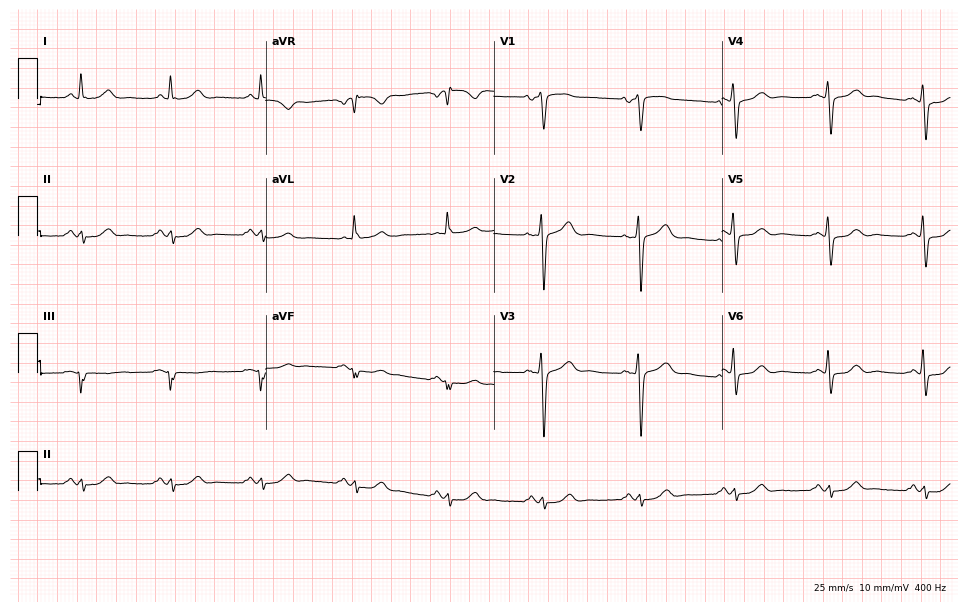
ECG — a 69-year-old male patient. Labelled as a normal ECG.